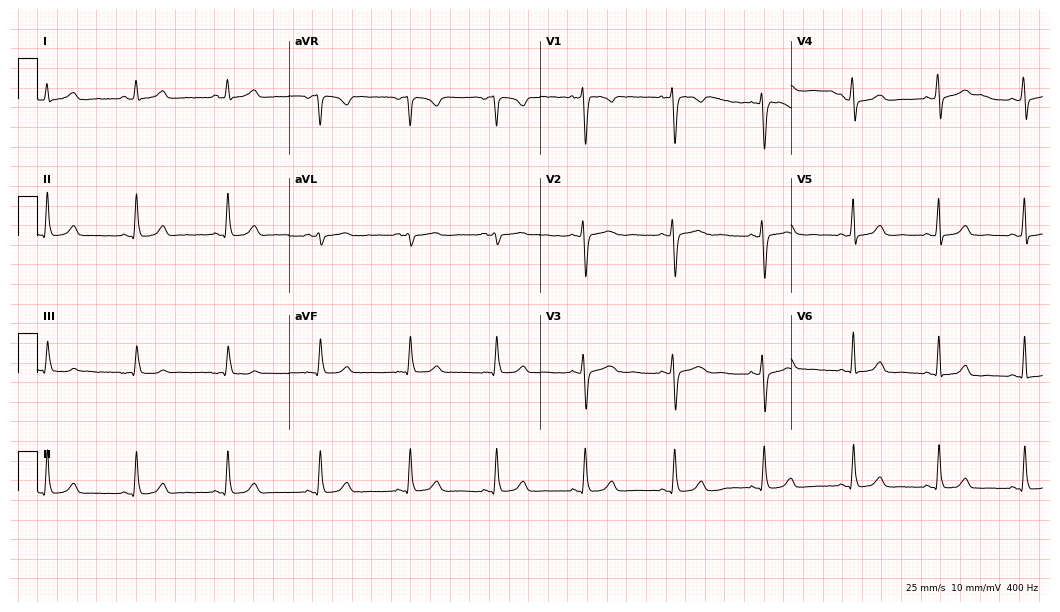
Electrocardiogram (10.2-second recording at 400 Hz), a woman, 37 years old. Overall reading on record: normal ECG.